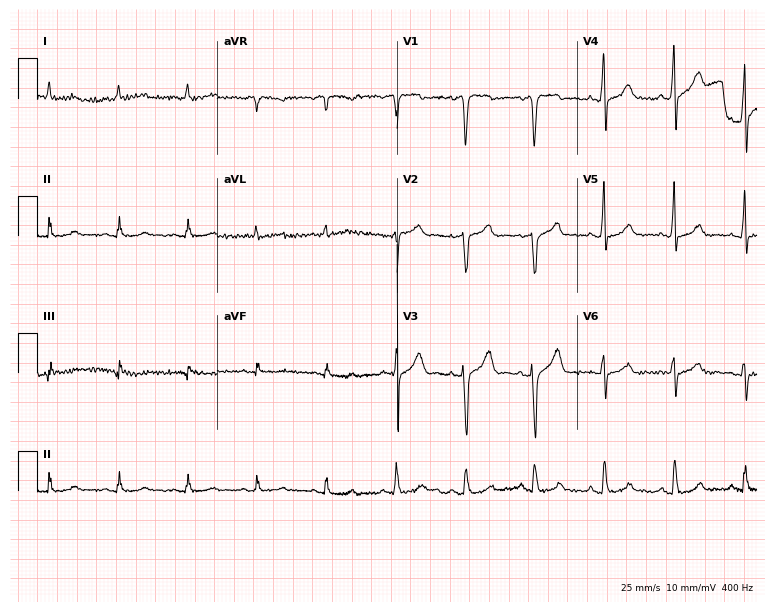
Resting 12-lead electrocardiogram. Patient: a man, 86 years old. Read as a normal ECG.